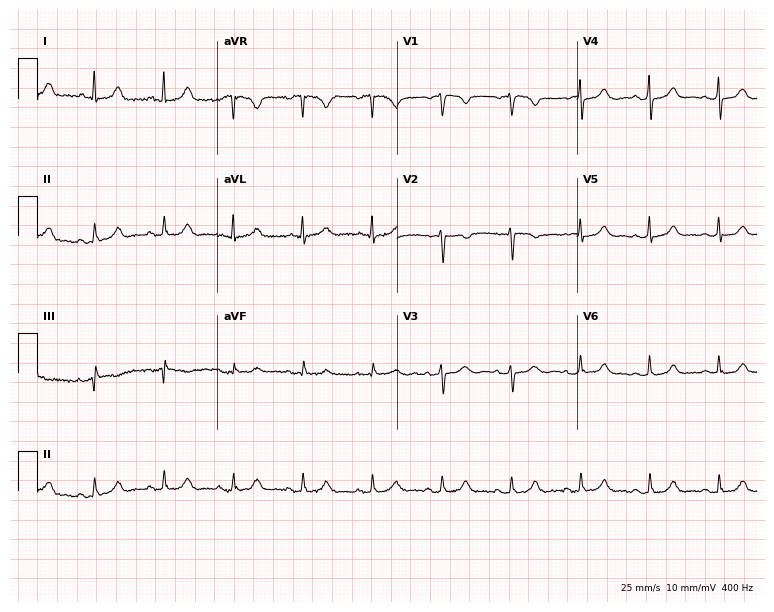
12-lead ECG from a 48-year-old female patient (7.3-second recording at 400 Hz). Recorded interpretation: within normal limits.